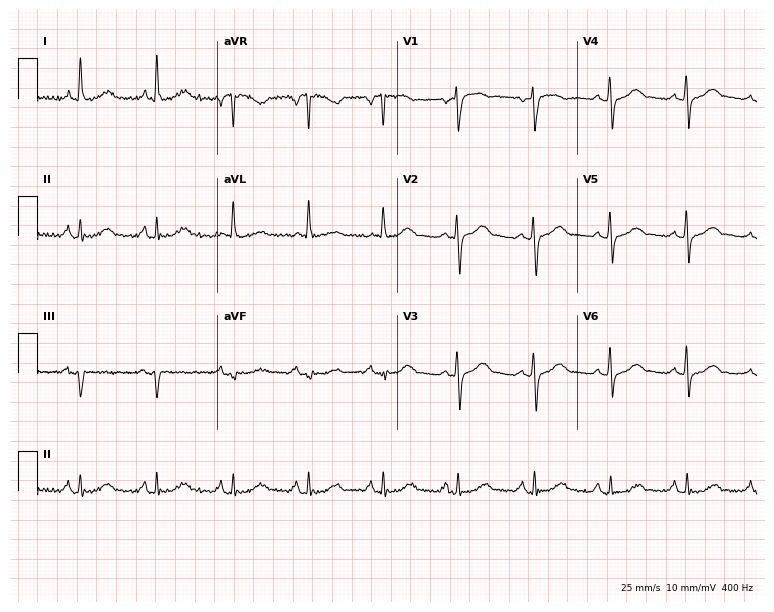
12-lead ECG (7.3-second recording at 400 Hz) from a 75-year-old female. Screened for six findings — first-degree AV block, right bundle branch block, left bundle branch block, sinus bradycardia, atrial fibrillation, sinus tachycardia — none is recorded. Only these six findings were labelled.